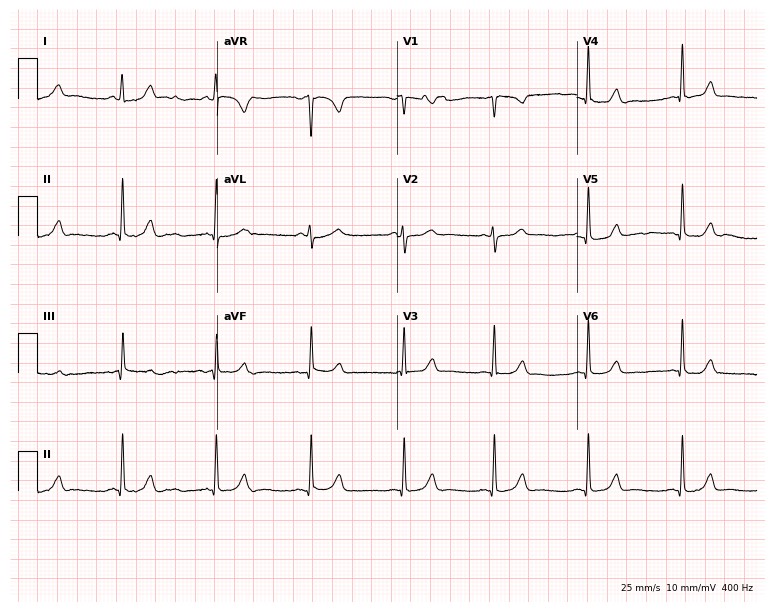
Resting 12-lead electrocardiogram. Patient: a 44-year-old woman. None of these six findings is recorded: first-degree AV block, right bundle branch block, left bundle branch block, sinus bradycardia, atrial fibrillation, sinus tachycardia.